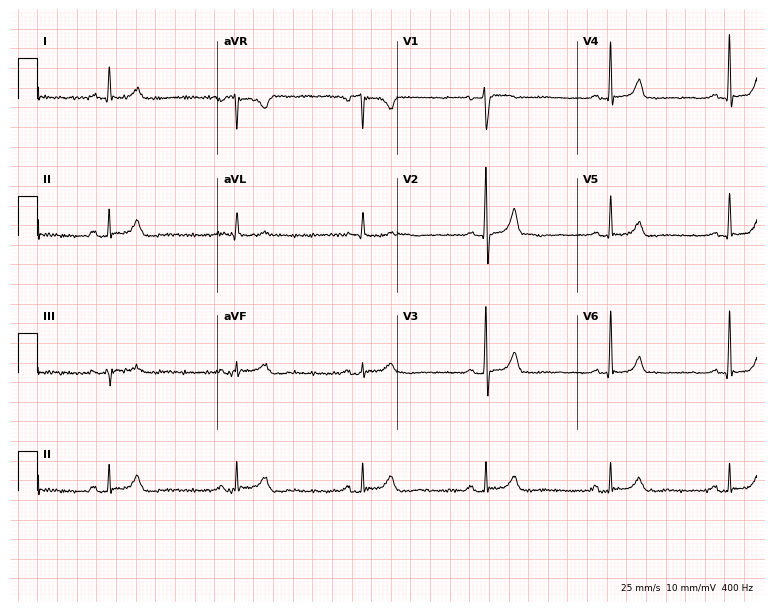
Standard 12-lead ECG recorded from a 64-year-old female patient (7.3-second recording at 400 Hz). None of these six findings is recorded: first-degree AV block, right bundle branch block, left bundle branch block, sinus bradycardia, atrial fibrillation, sinus tachycardia.